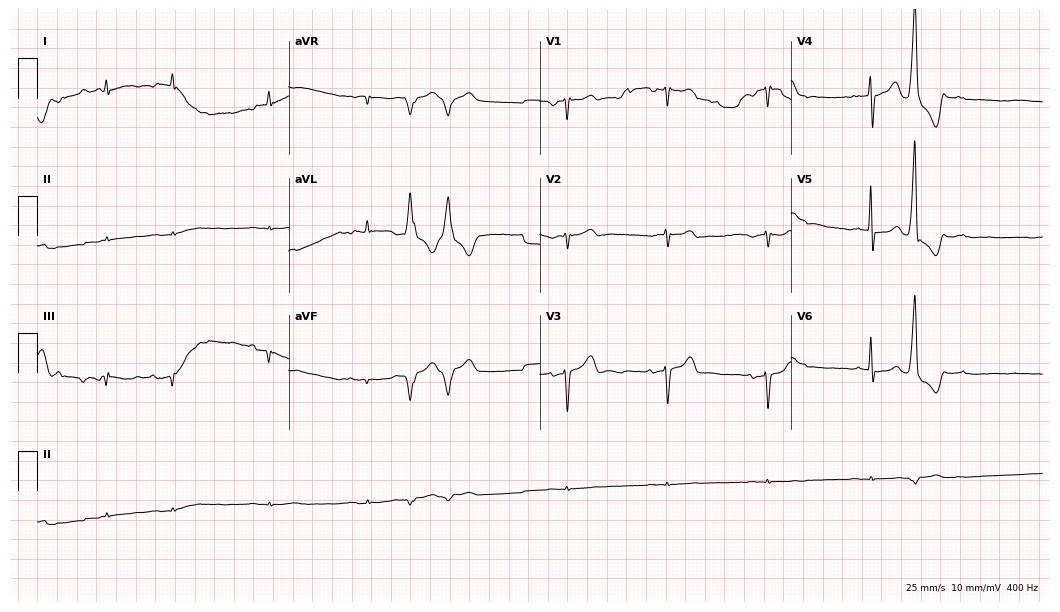
12-lead ECG from a male patient, 79 years old. Screened for six findings — first-degree AV block, right bundle branch block, left bundle branch block, sinus bradycardia, atrial fibrillation, sinus tachycardia — none is recorded. Findings outside these six are not listed.